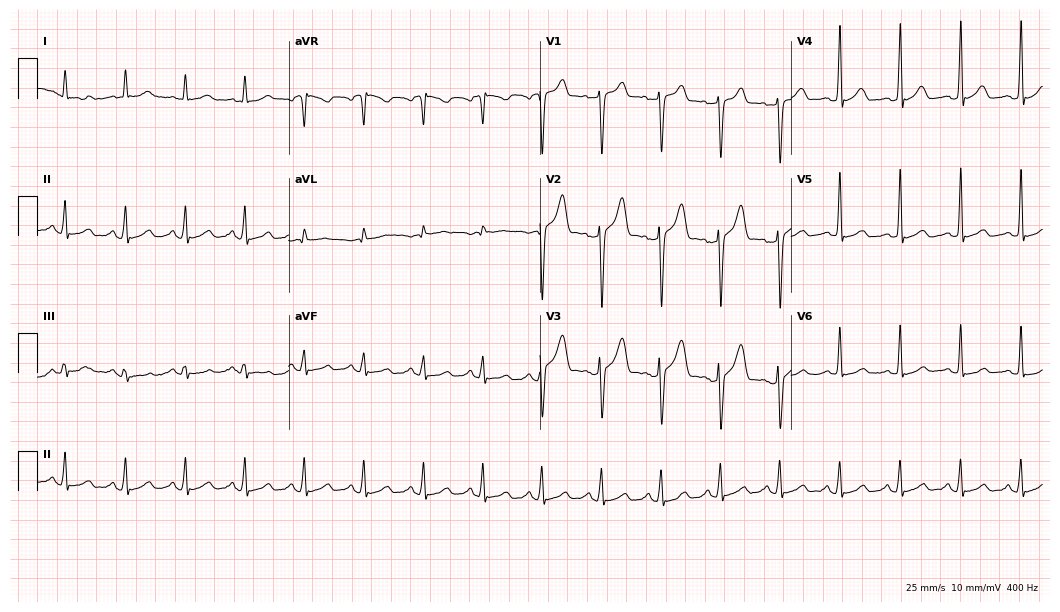
Resting 12-lead electrocardiogram. Patient: a male, 45 years old. None of these six findings is recorded: first-degree AV block, right bundle branch block, left bundle branch block, sinus bradycardia, atrial fibrillation, sinus tachycardia. Findings outside these six are not listed.